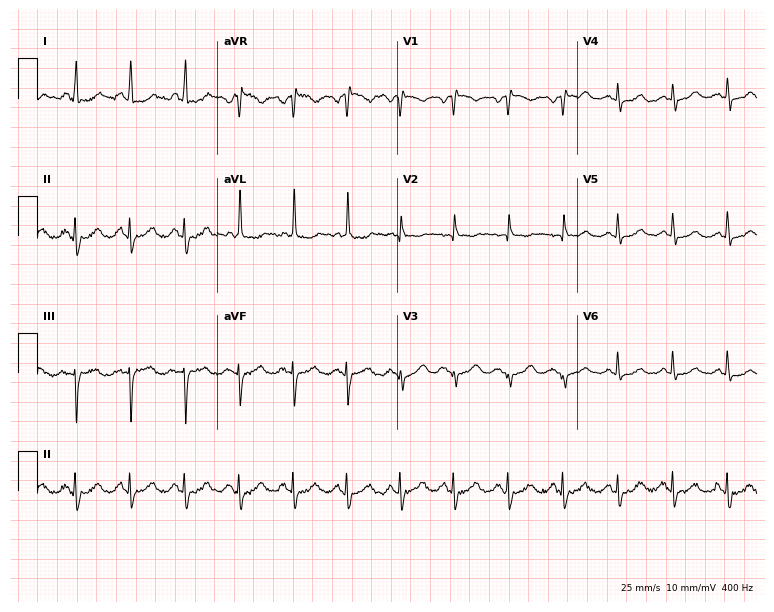
Resting 12-lead electrocardiogram. Patient: a female, 49 years old. The tracing shows sinus tachycardia (a sinus rate of 100 beats per minute or more).